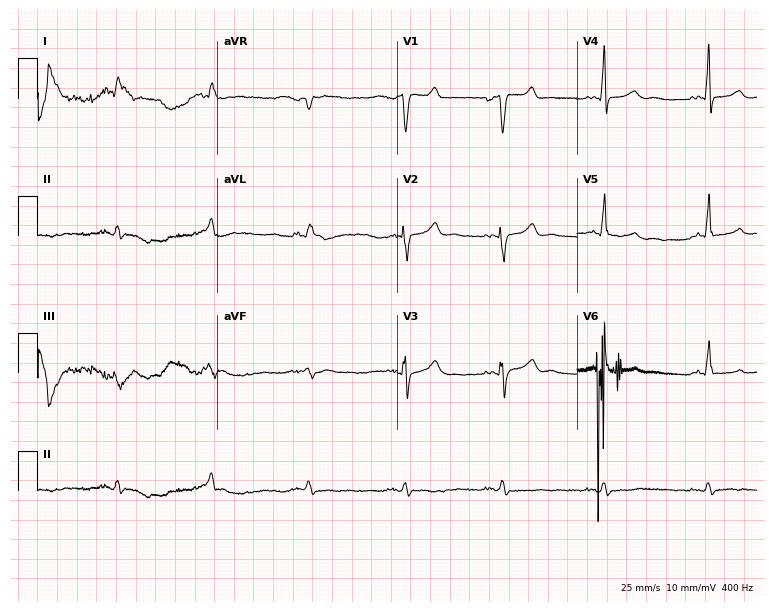
Standard 12-lead ECG recorded from a 56-year-old man. None of these six findings is recorded: first-degree AV block, right bundle branch block (RBBB), left bundle branch block (LBBB), sinus bradycardia, atrial fibrillation (AF), sinus tachycardia. Only these six findings were labelled.